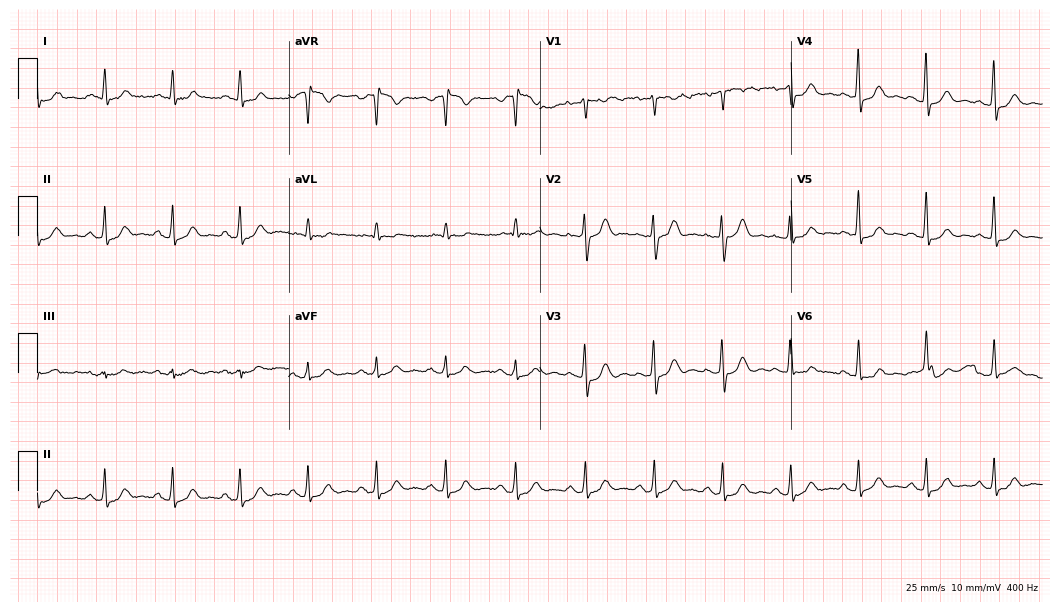
Resting 12-lead electrocardiogram. Patient: a 55-year-old male. None of these six findings is recorded: first-degree AV block, right bundle branch block, left bundle branch block, sinus bradycardia, atrial fibrillation, sinus tachycardia.